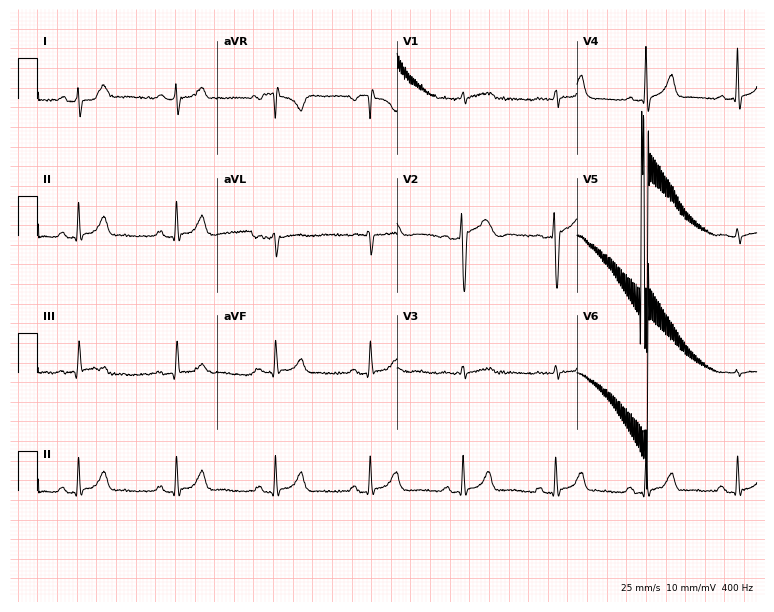
Resting 12-lead electrocardiogram (7.3-second recording at 400 Hz). Patient: a 44-year-old male. None of these six findings is recorded: first-degree AV block, right bundle branch block (RBBB), left bundle branch block (LBBB), sinus bradycardia, atrial fibrillation (AF), sinus tachycardia.